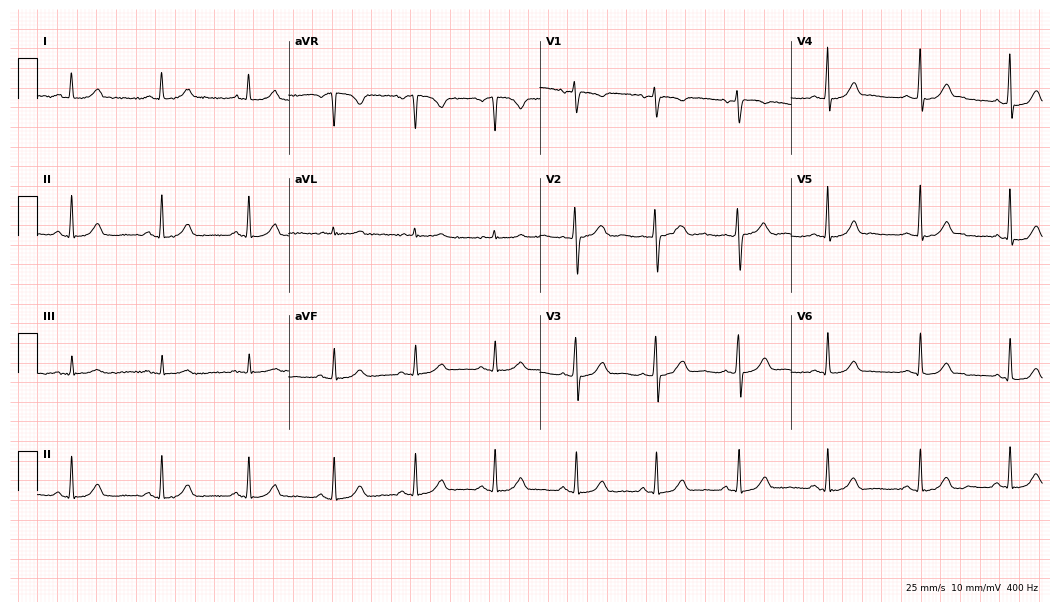
ECG (10.2-second recording at 400 Hz) — a 37-year-old male. Labelled as a normal ECG.